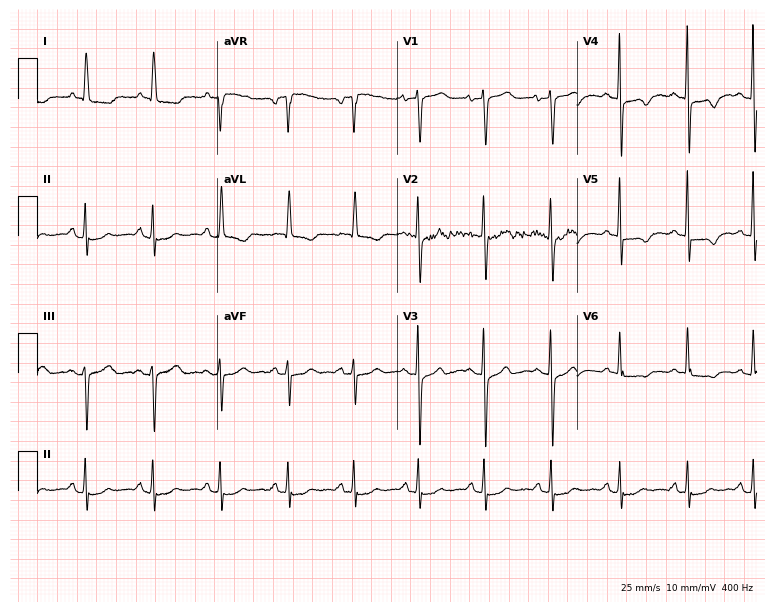
12-lead ECG from a female, 71 years old (7.3-second recording at 400 Hz). No first-degree AV block, right bundle branch block (RBBB), left bundle branch block (LBBB), sinus bradycardia, atrial fibrillation (AF) or sinus tachycardia recorded for this tracing.